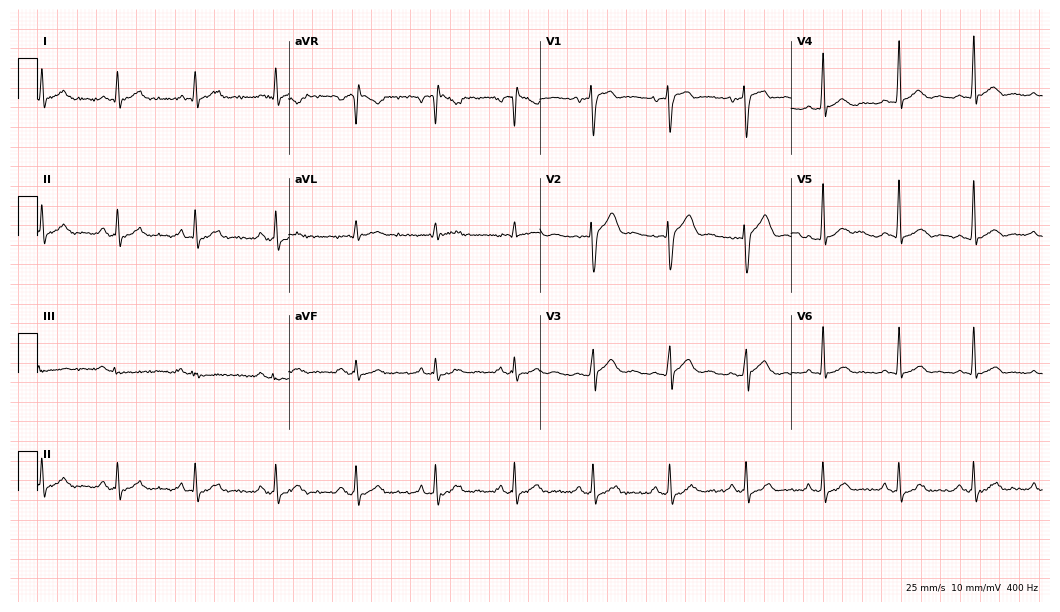
12-lead ECG (10.2-second recording at 400 Hz) from a male, 27 years old. Labelled as a normal ECG.